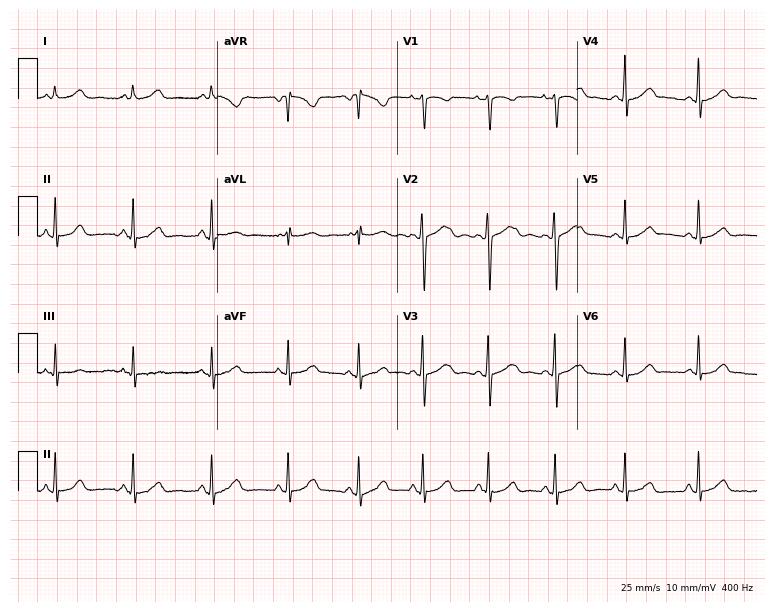
Electrocardiogram, a female, 30 years old. Overall reading on record: normal ECG.